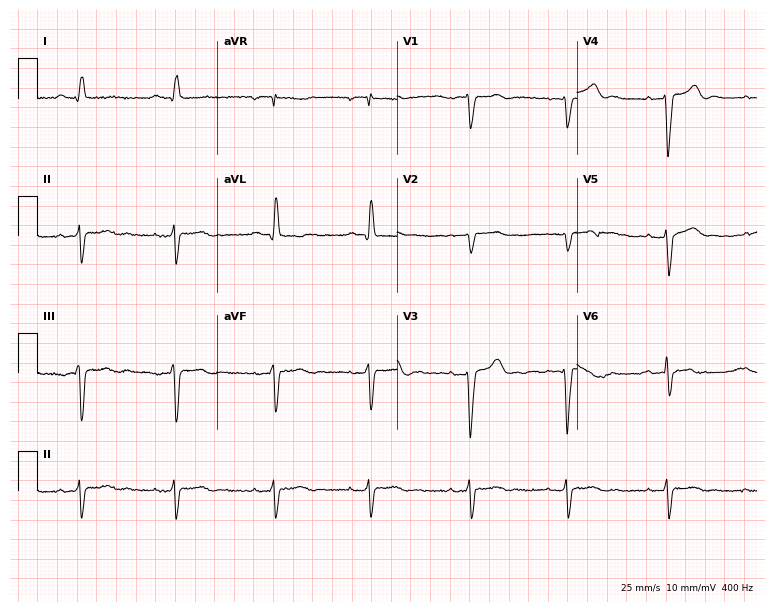
12-lead ECG from a woman, 34 years old. Screened for six findings — first-degree AV block, right bundle branch block (RBBB), left bundle branch block (LBBB), sinus bradycardia, atrial fibrillation (AF), sinus tachycardia — none is recorded. Other findings, if any, are not listed.